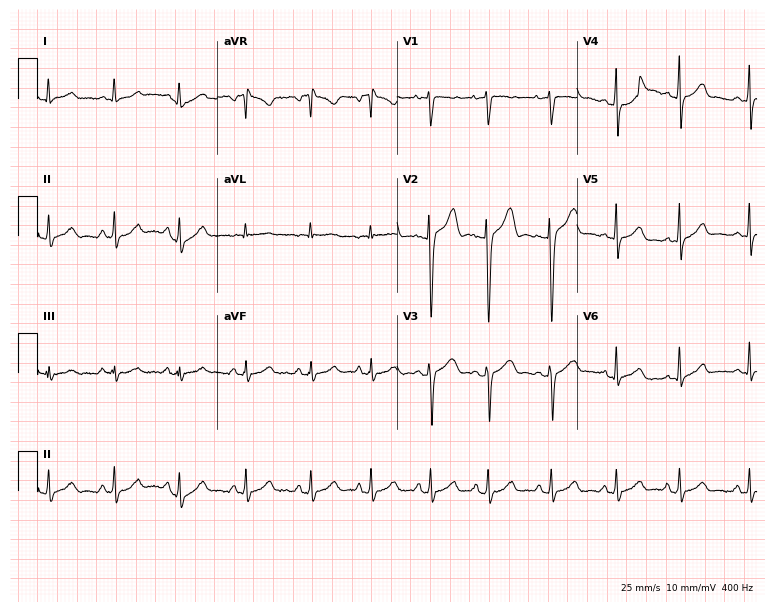
Electrocardiogram, a female, 20 years old. Overall reading on record: normal ECG.